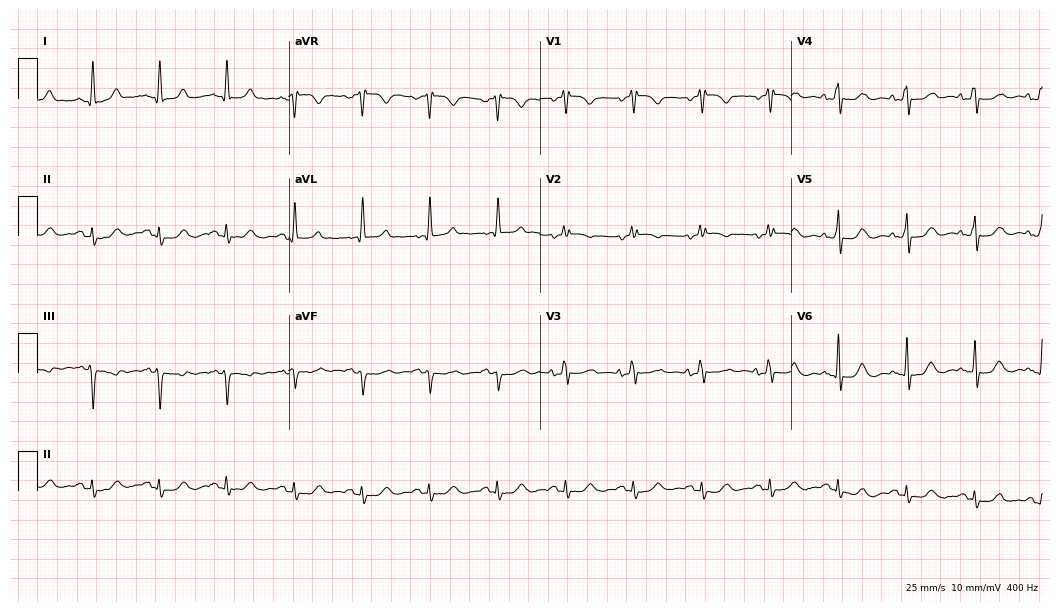
Standard 12-lead ECG recorded from a 79-year-old female (10.2-second recording at 400 Hz). Read as a normal ECG.